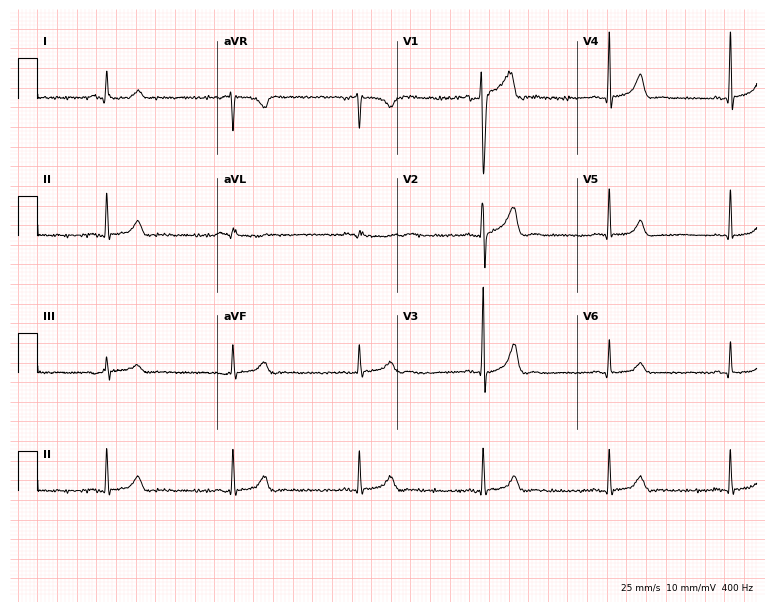
12-lead ECG from a male patient, 25 years old. Findings include sinus bradycardia (a sinus rate of 50 beats per minute or less).